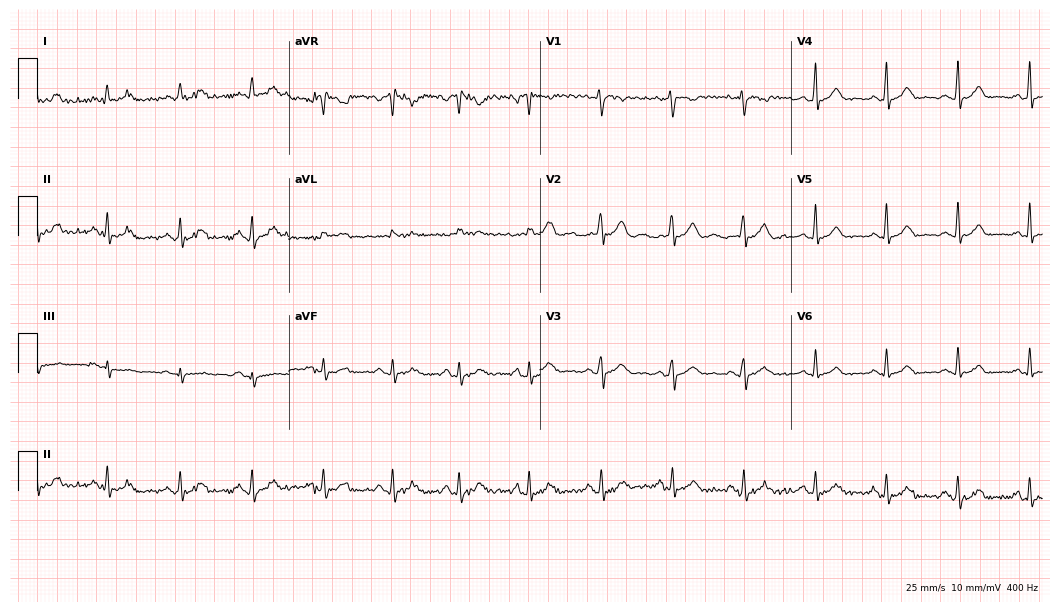
12-lead ECG (10.2-second recording at 400 Hz) from a female patient, 32 years old. Screened for six findings — first-degree AV block, right bundle branch block, left bundle branch block, sinus bradycardia, atrial fibrillation, sinus tachycardia — none is recorded.